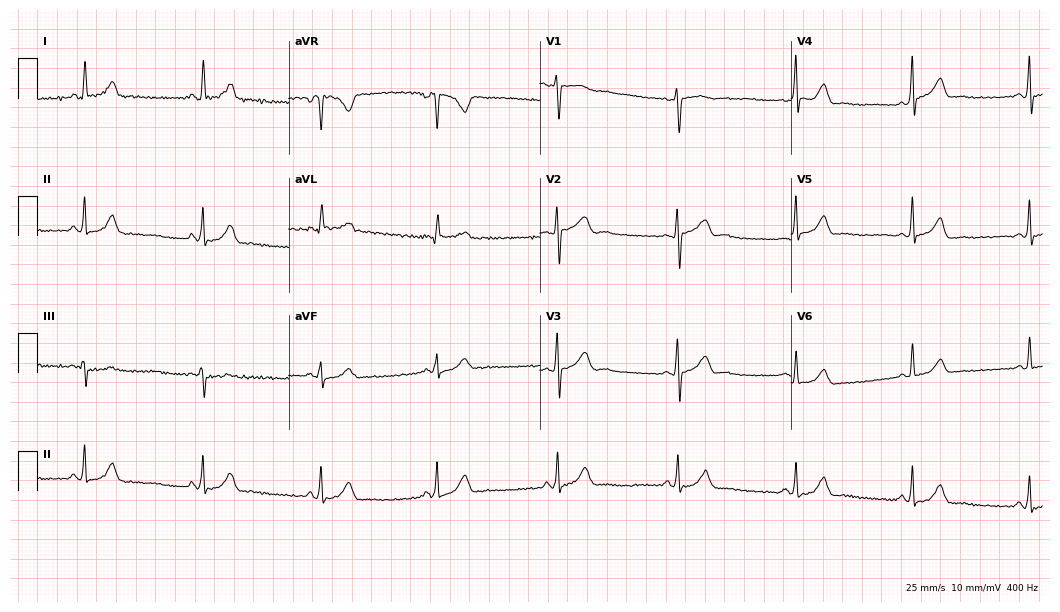
Electrocardiogram, a woman, 51 years old. Overall reading on record: normal ECG.